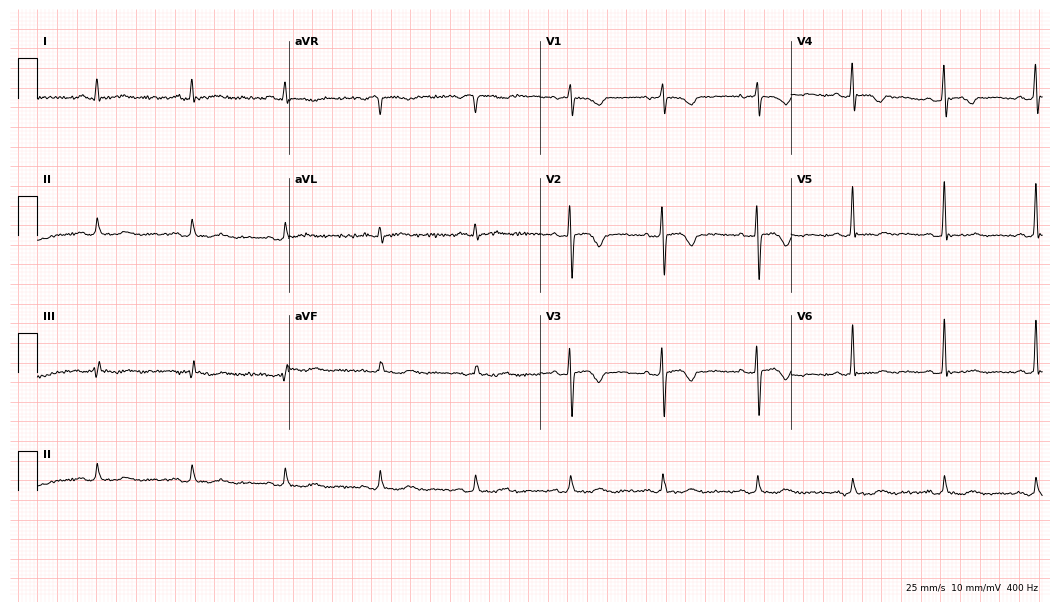
12-lead ECG from a woman, 66 years old (10.2-second recording at 400 Hz). No first-degree AV block, right bundle branch block, left bundle branch block, sinus bradycardia, atrial fibrillation or sinus tachycardia recorded for this tracing.